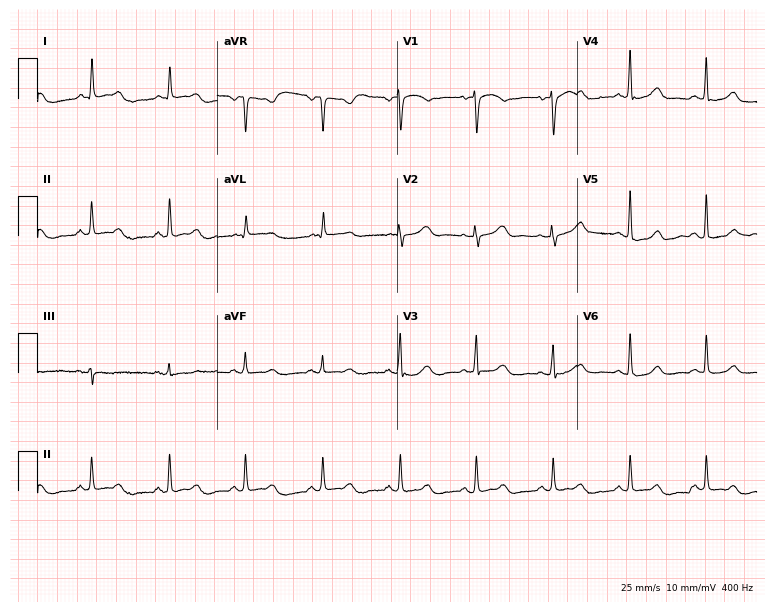
Resting 12-lead electrocardiogram. Patient: a 68-year-old female. Read as a normal ECG.